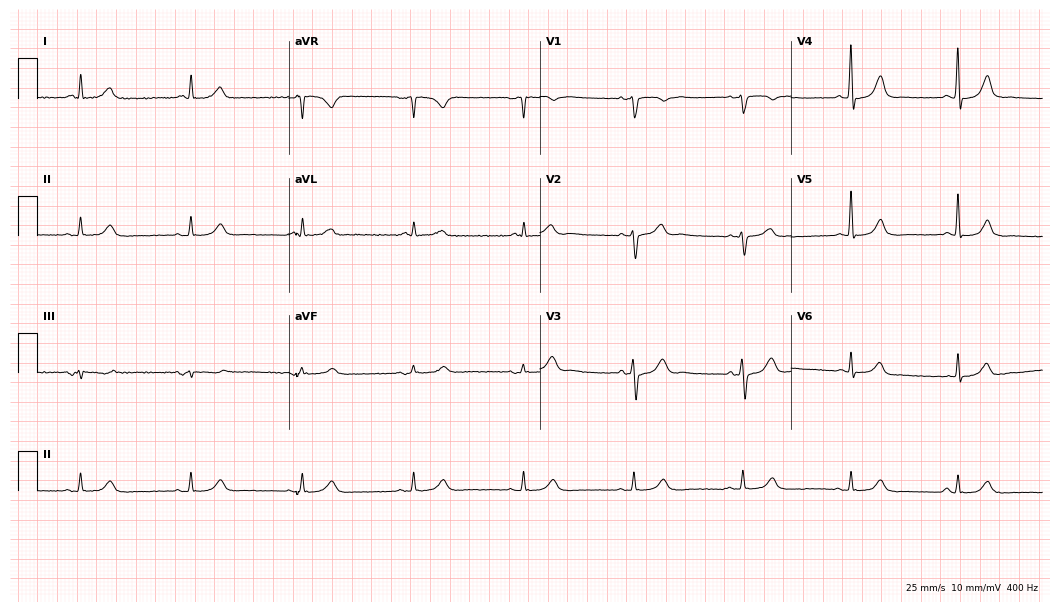
Electrocardiogram (10.2-second recording at 400 Hz), a male patient, 72 years old. Overall reading on record: normal ECG.